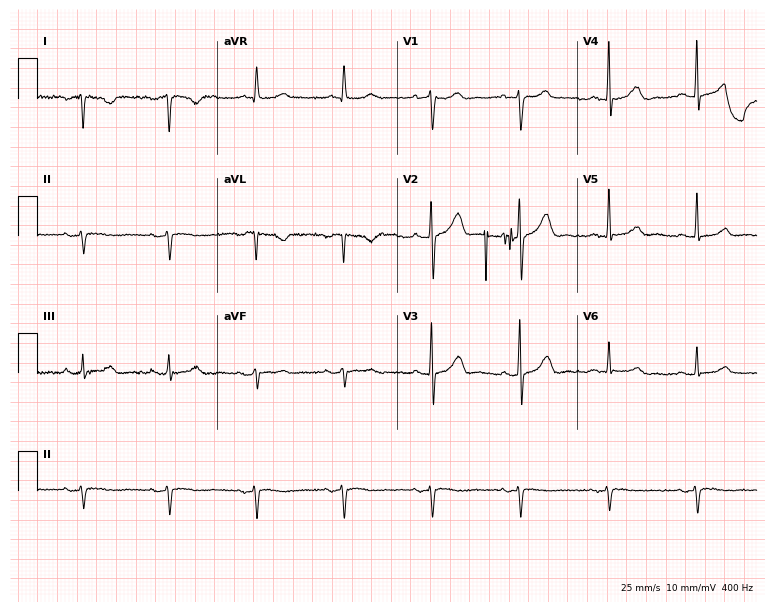
Standard 12-lead ECG recorded from a 74-year-old man (7.3-second recording at 400 Hz). None of these six findings is recorded: first-degree AV block, right bundle branch block, left bundle branch block, sinus bradycardia, atrial fibrillation, sinus tachycardia.